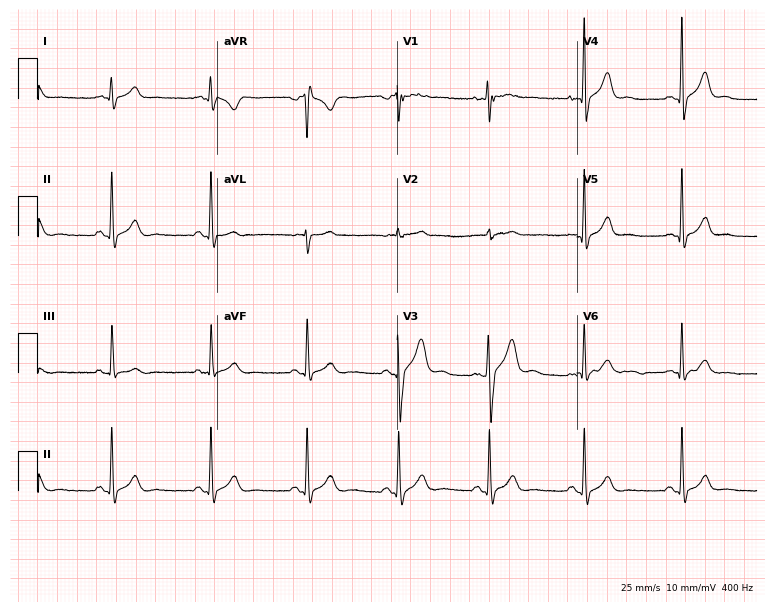
12-lead ECG from a 19-year-old man (7.3-second recording at 400 Hz). Recorded interpretation: within normal limits.